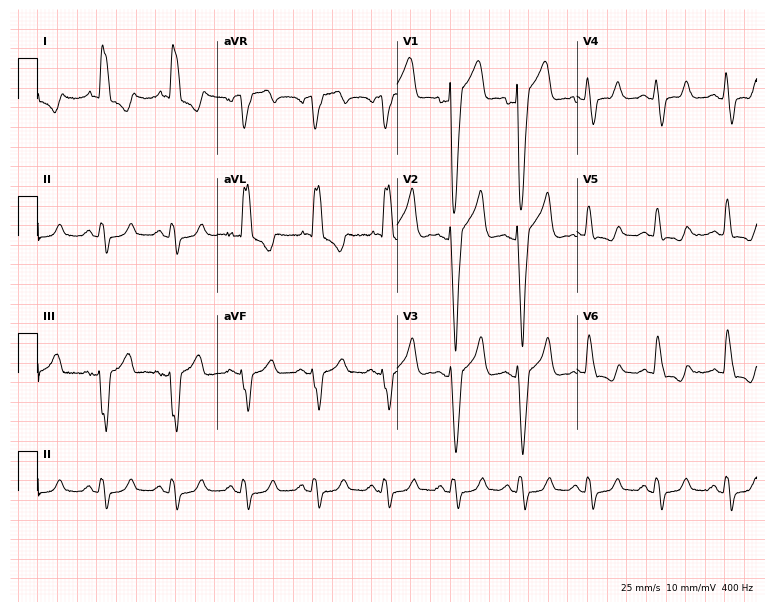
ECG (7.3-second recording at 400 Hz) — a 78-year-old male patient. Findings include left bundle branch block.